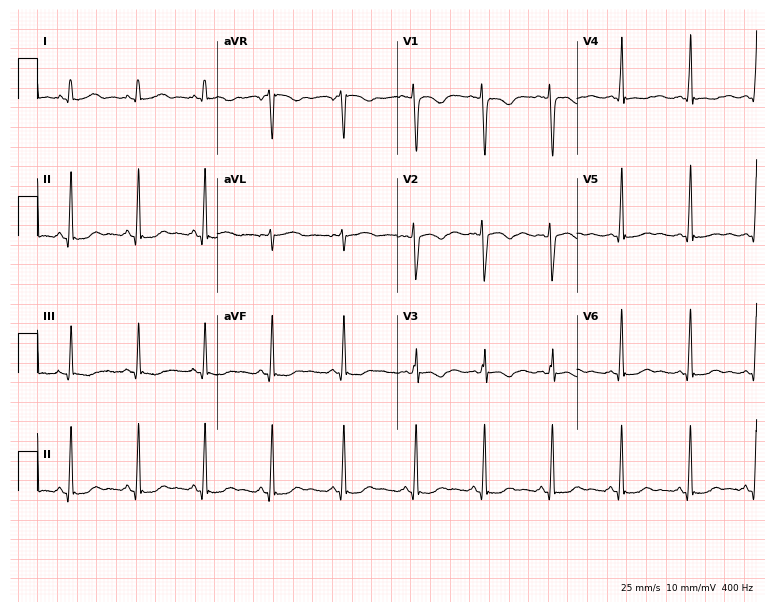
Resting 12-lead electrocardiogram. Patient: a woman, 26 years old. None of these six findings is recorded: first-degree AV block, right bundle branch block, left bundle branch block, sinus bradycardia, atrial fibrillation, sinus tachycardia. Findings outside these six are not listed.